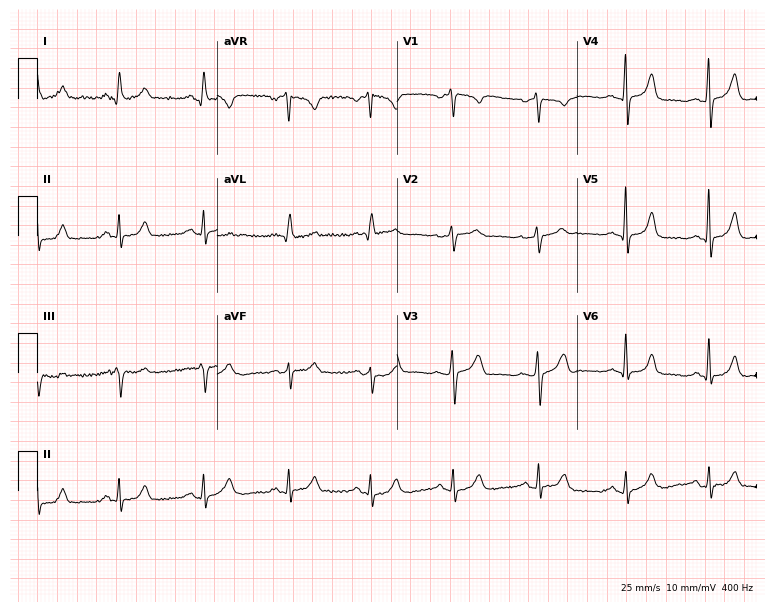
12-lead ECG (7.3-second recording at 400 Hz) from a woman, 52 years old. Screened for six findings — first-degree AV block, right bundle branch block, left bundle branch block, sinus bradycardia, atrial fibrillation, sinus tachycardia — none is recorded. Only these six findings were labelled.